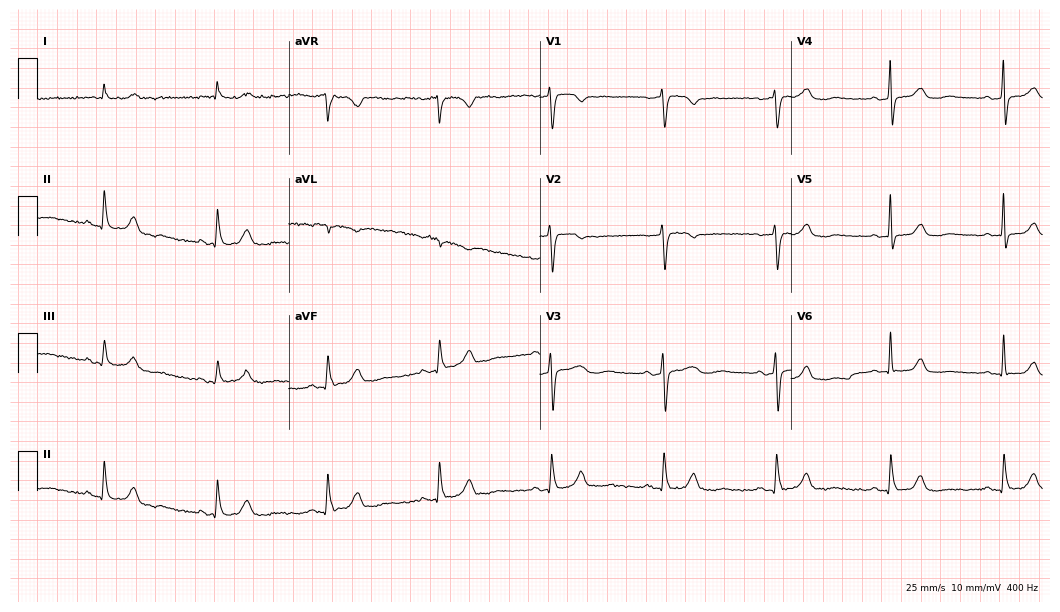
12-lead ECG from an 83-year-old female patient. Recorded interpretation: within normal limits.